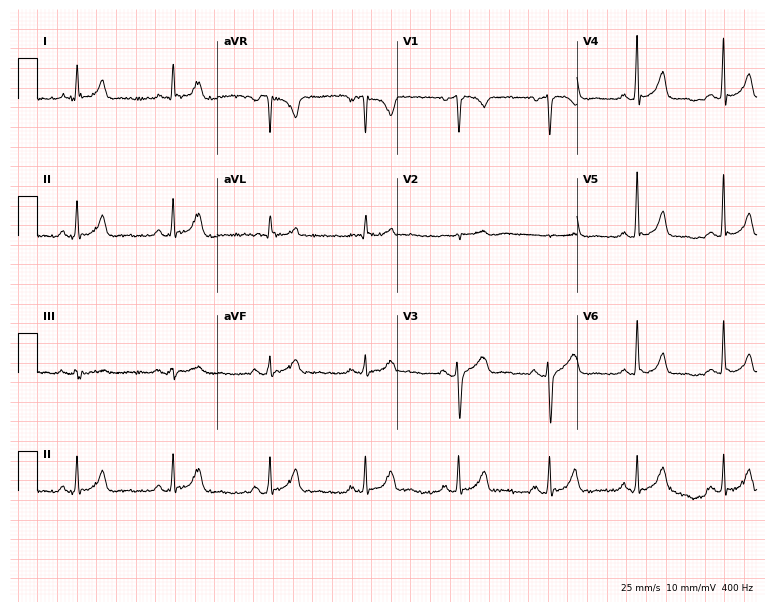
12-lead ECG from a male, 56 years old. Recorded interpretation: within normal limits.